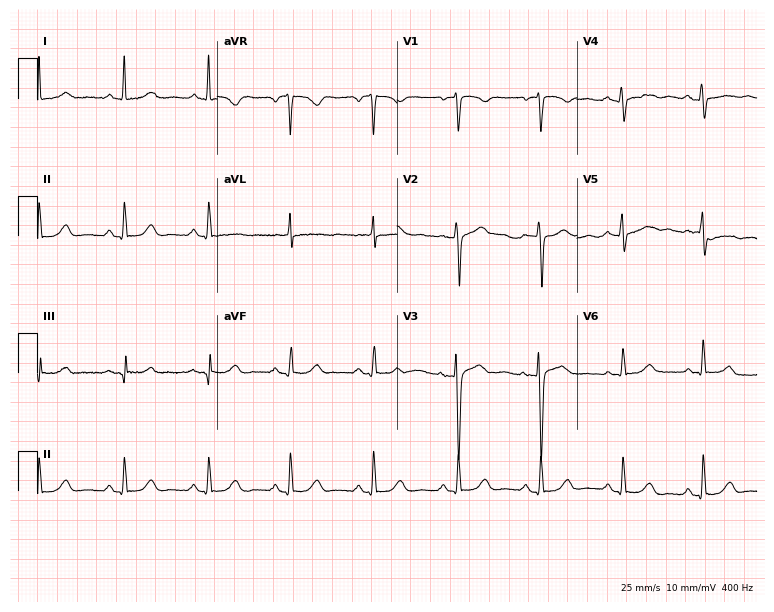
12-lead ECG from a 44-year-old female (7.3-second recording at 400 Hz). Recorded interpretation: within normal limits.